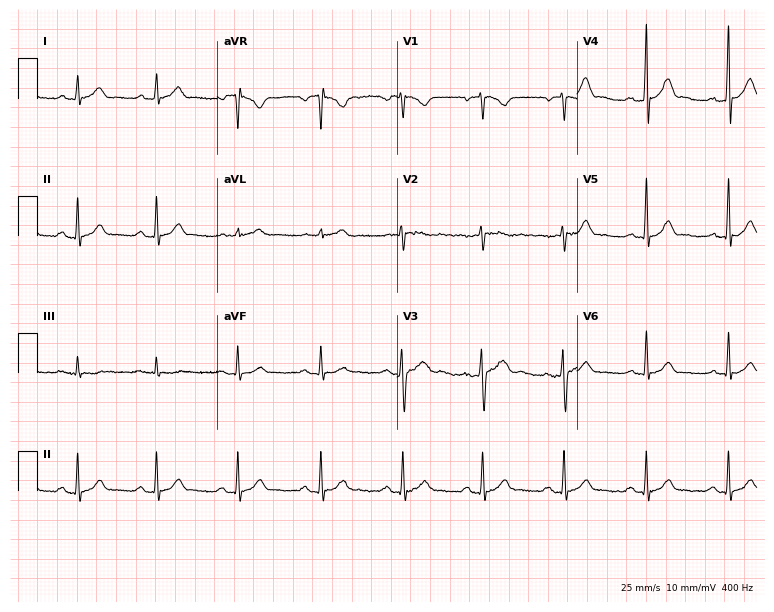
ECG (7.3-second recording at 400 Hz) — a male patient, 43 years old. Labelled as a normal ECG.